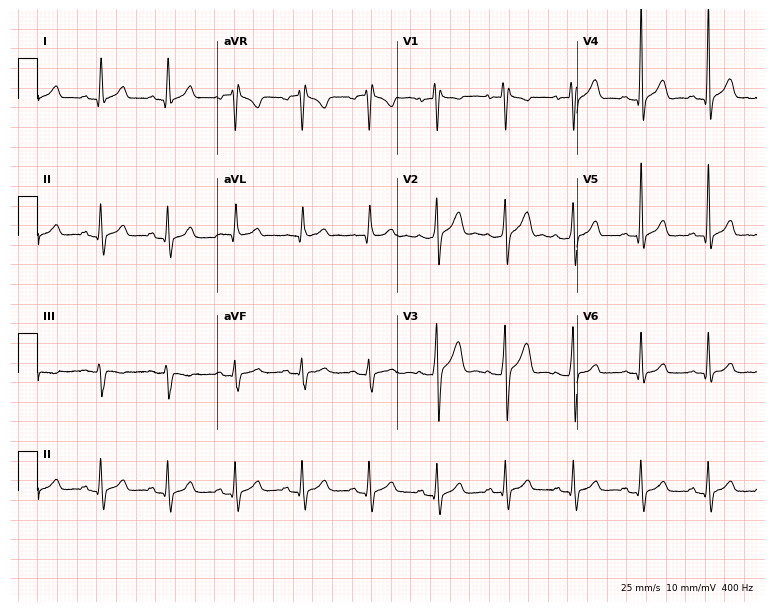
ECG (7.3-second recording at 400 Hz) — a 29-year-old male. Screened for six findings — first-degree AV block, right bundle branch block, left bundle branch block, sinus bradycardia, atrial fibrillation, sinus tachycardia — none is recorded. Other findings, if any, are not listed.